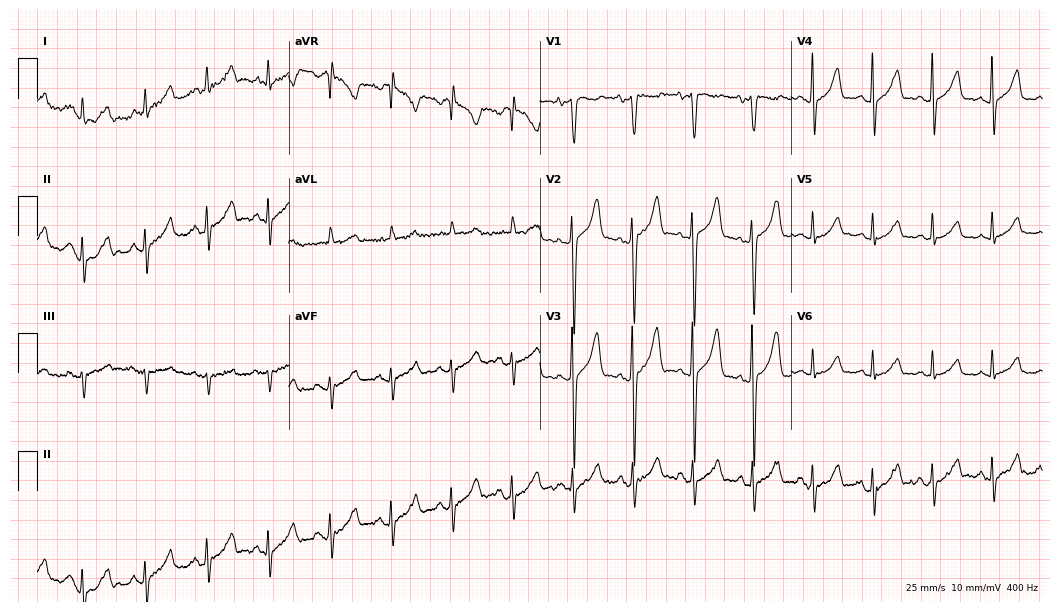
ECG (10.2-second recording at 400 Hz) — an 81-year-old female. Screened for six findings — first-degree AV block, right bundle branch block, left bundle branch block, sinus bradycardia, atrial fibrillation, sinus tachycardia — none is recorded.